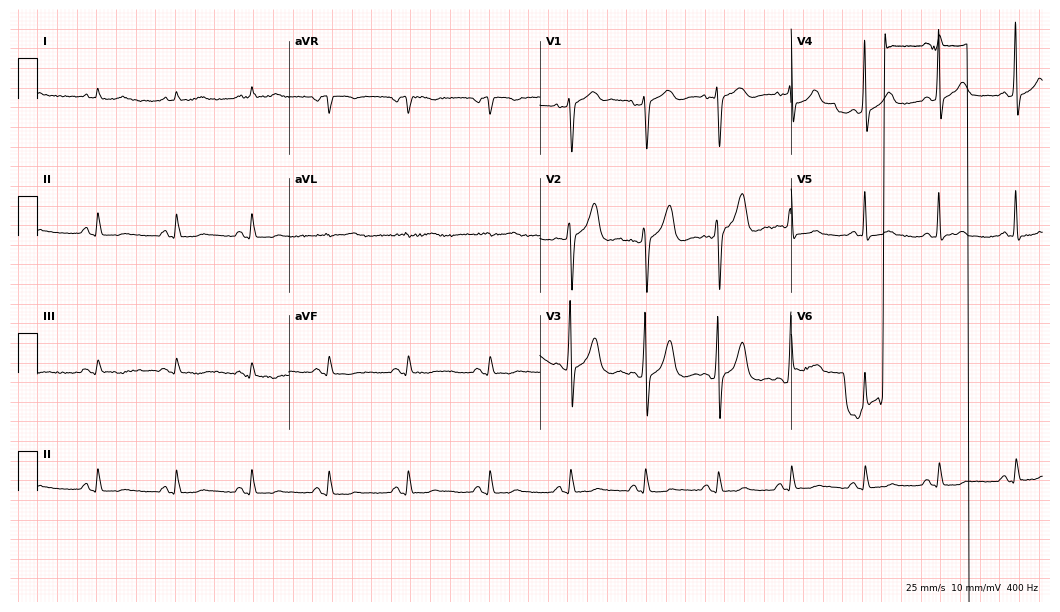
ECG — a male patient, 73 years old. Screened for six findings — first-degree AV block, right bundle branch block, left bundle branch block, sinus bradycardia, atrial fibrillation, sinus tachycardia — none is recorded. Findings outside these six are not listed.